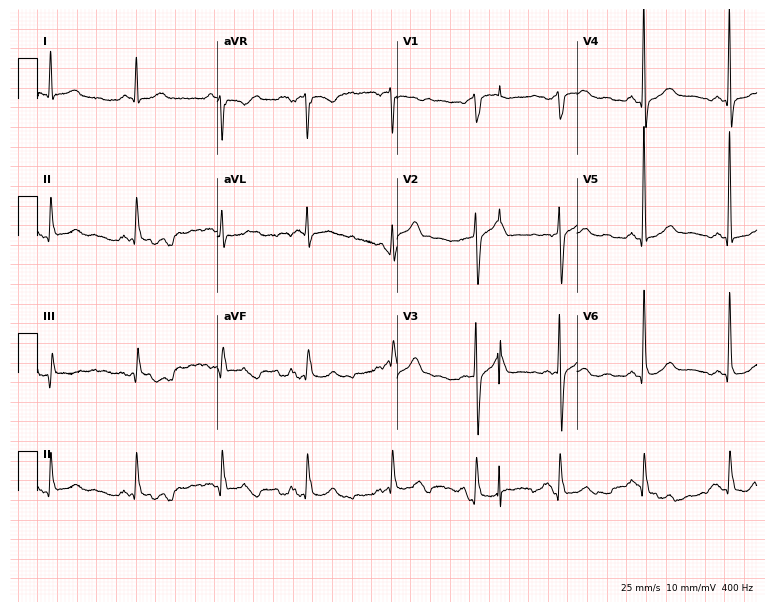
Electrocardiogram, a male, 72 years old. Overall reading on record: normal ECG.